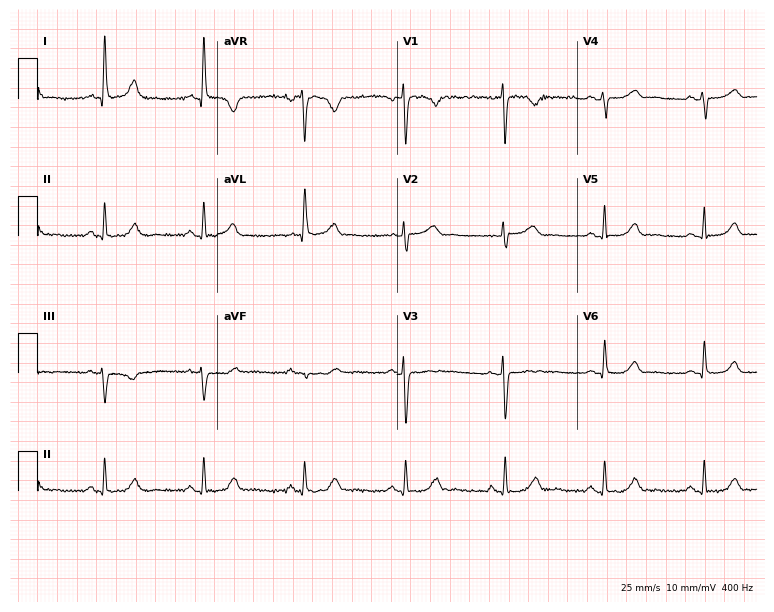
12-lead ECG (7.3-second recording at 400 Hz) from a 55-year-old woman. Labelled as a normal ECG.